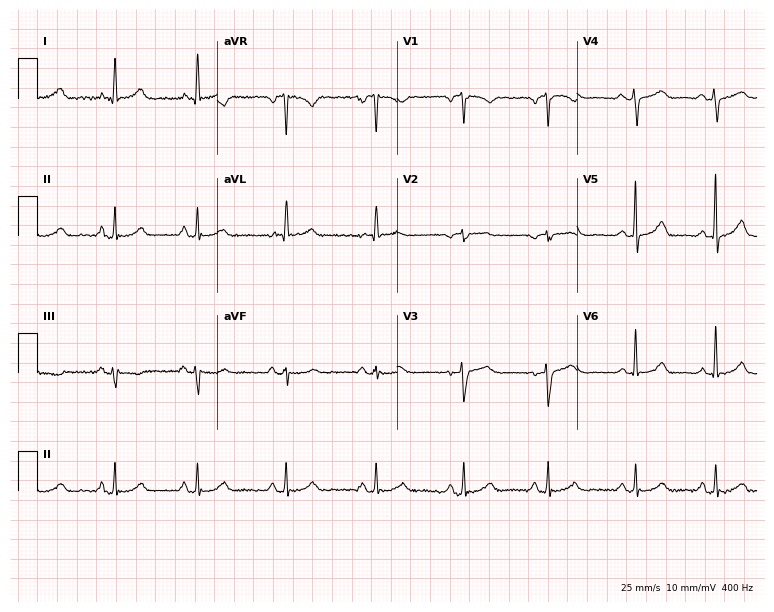
ECG (7.3-second recording at 400 Hz) — a 46-year-old female patient. Labelled as a normal ECG.